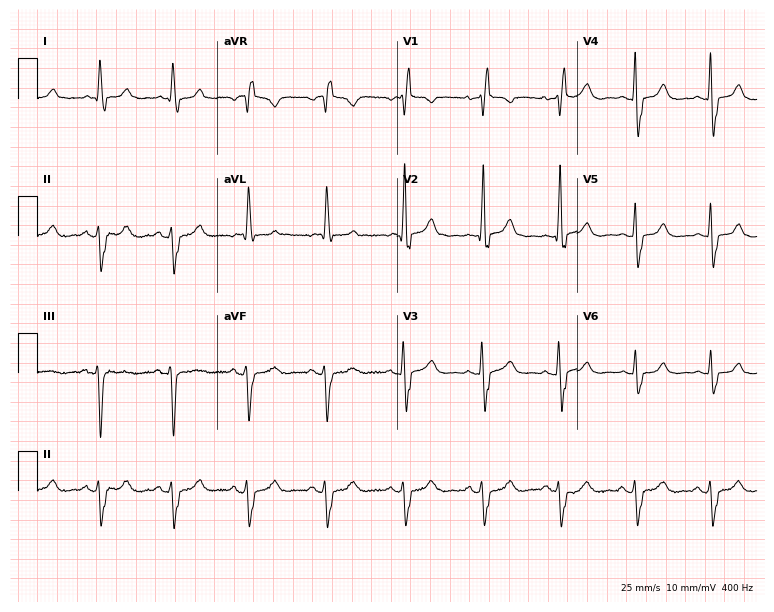
Standard 12-lead ECG recorded from a woman, 74 years old. The tracing shows right bundle branch block.